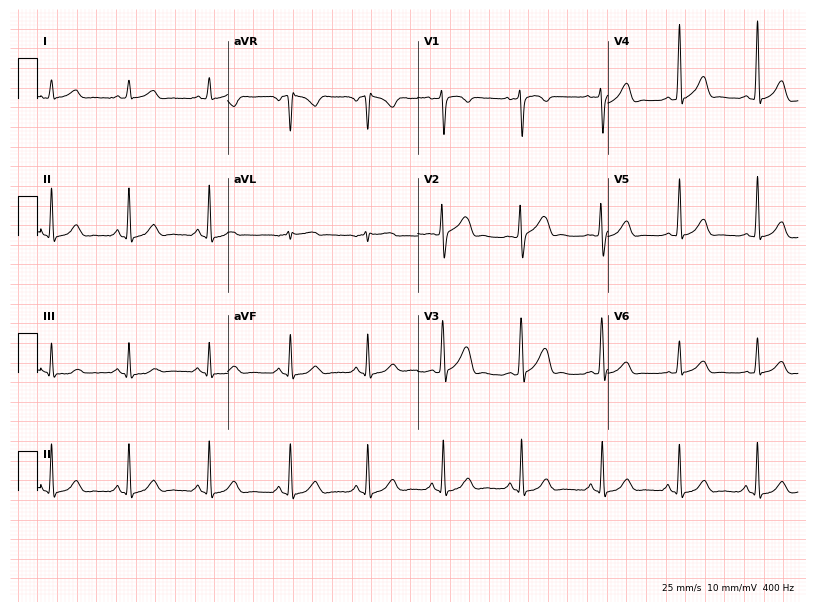
Standard 12-lead ECG recorded from a 28-year-old male (7.8-second recording at 400 Hz). Read as a normal ECG.